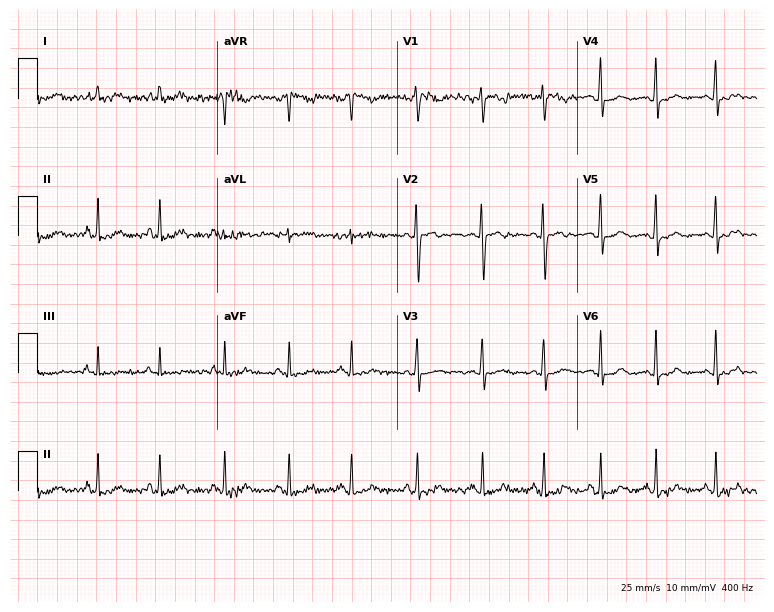
Resting 12-lead electrocardiogram. Patient: a 19-year-old woman. None of these six findings is recorded: first-degree AV block, right bundle branch block, left bundle branch block, sinus bradycardia, atrial fibrillation, sinus tachycardia.